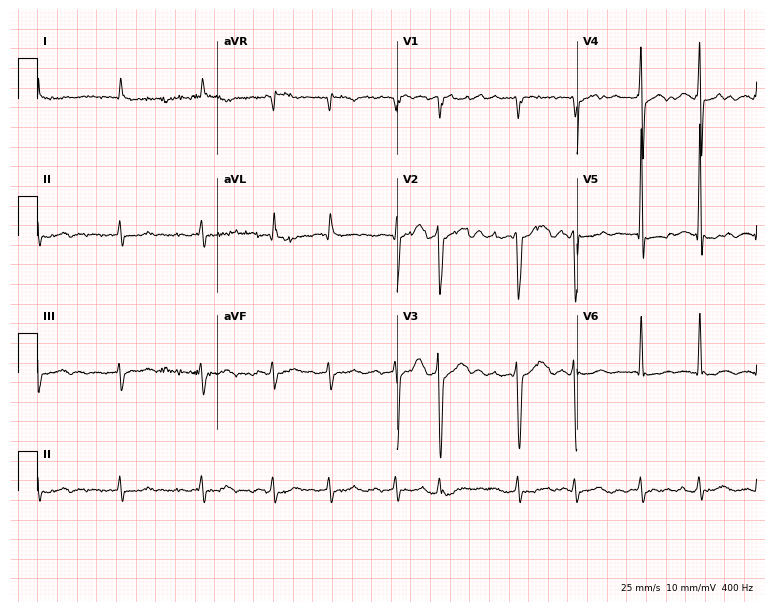
Standard 12-lead ECG recorded from a man, 82 years old. None of these six findings is recorded: first-degree AV block, right bundle branch block (RBBB), left bundle branch block (LBBB), sinus bradycardia, atrial fibrillation (AF), sinus tachycardia.